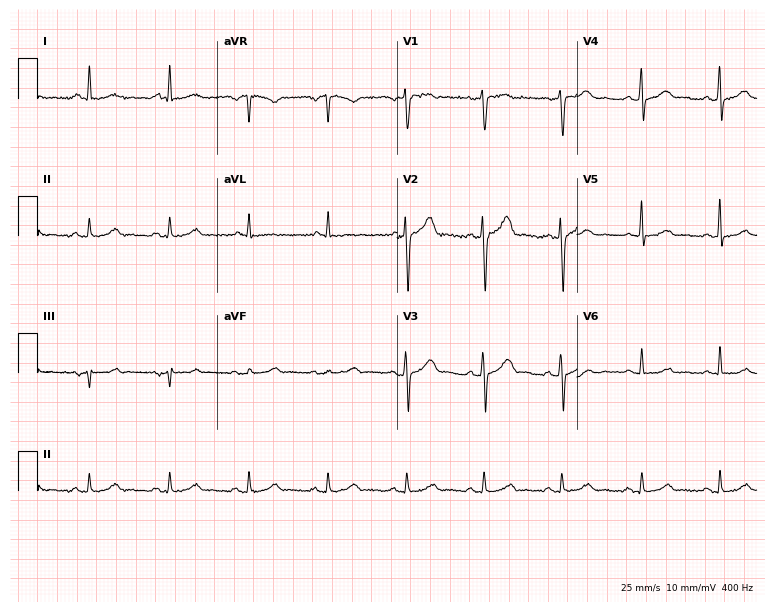
Electrocardiogram (7.3-second recording at 400 Hz), a 40-year-old male. Overall reading on record: normal ECG.